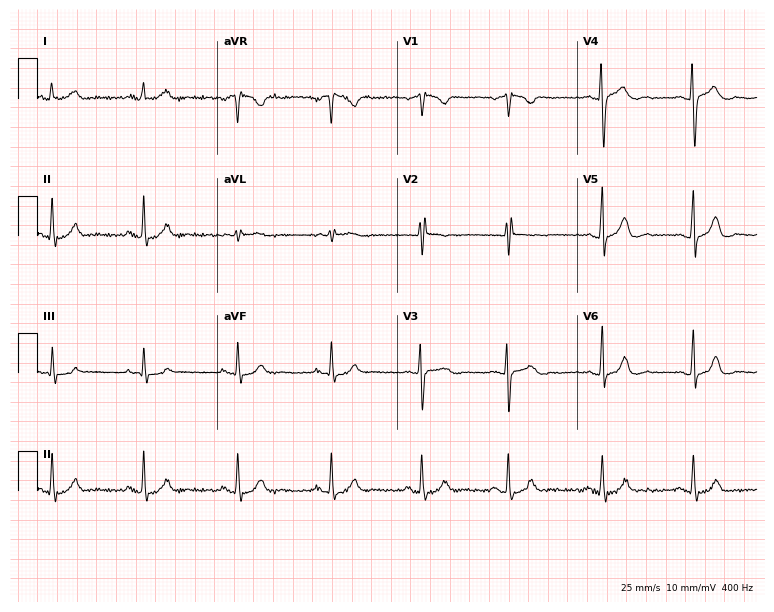
Electrocardiogram (7.3-second recording at 400 Hz), a 27-year-old female patient. Overall reading on record: normal ECG.